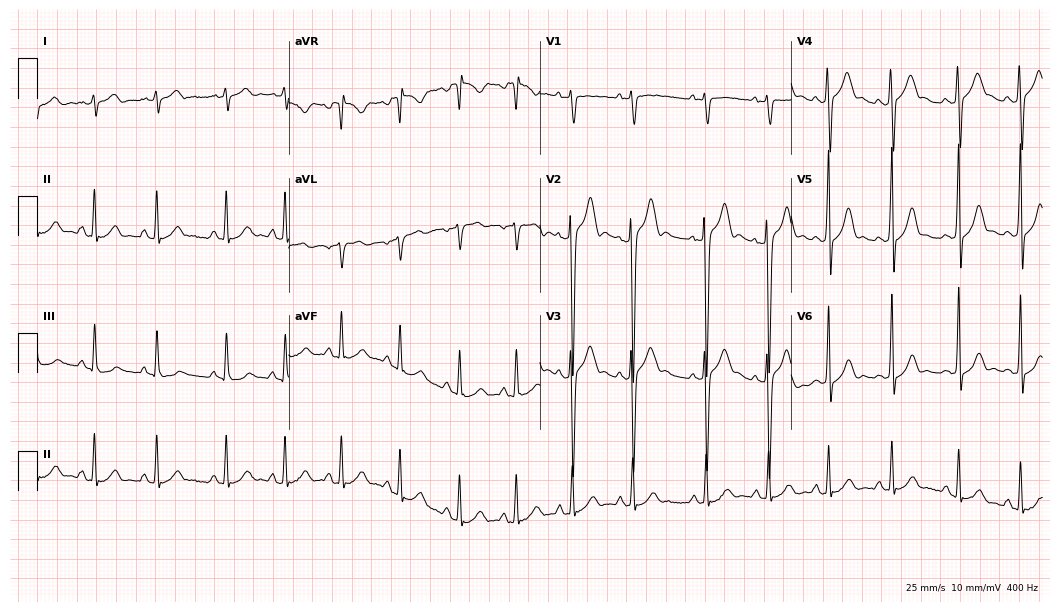
Electrocardiogram, a 19-year-old man. Of the six screened findings (first-degree AV block, right bundle branch block (RBBB), left bundle branch block (LBBB), sinus bradycardia, atrial fibrillation (AF), sinus tachycardia), none is recorded.